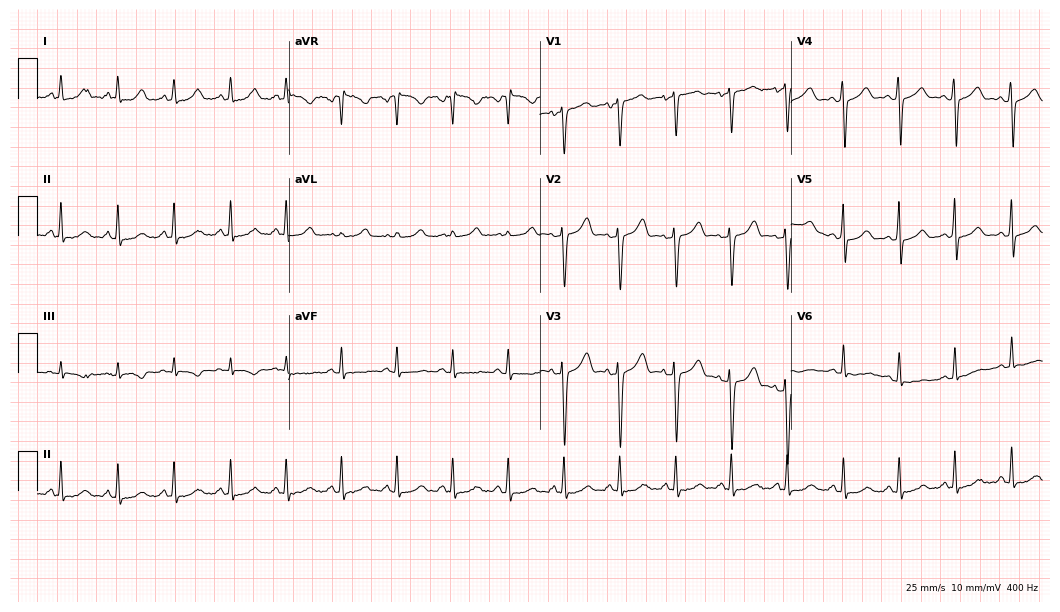
Resting 12-lead electrocardiogram (10.2-second recording at 400 Hz). Patient: a 22-year-old female. None of these six findings is recorded: first-degree AV block, right bundle branch block, left bundle branch block, sinus bradycardia, atrial fibrillation, sinus tachycardia. Findings outside these six are not listed.